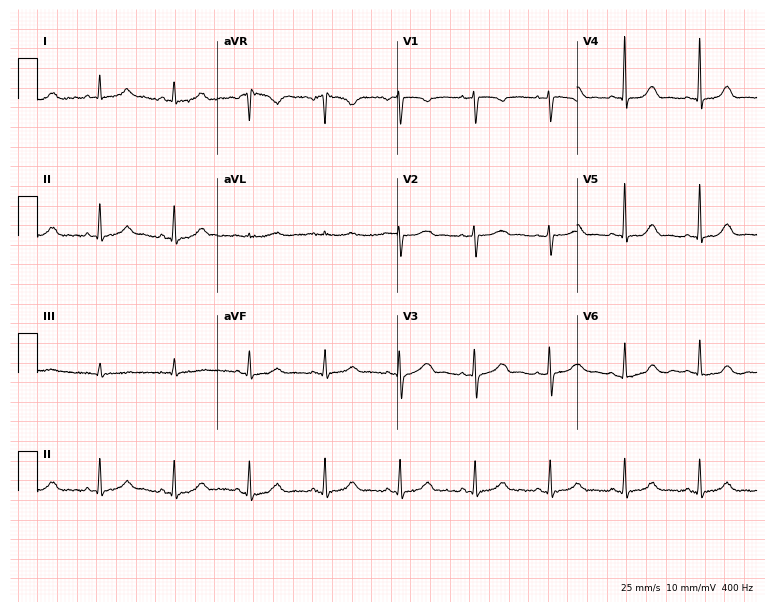
Electrocardiogram, a 77-year-old male patient. Overall reading on record: normal ECG.